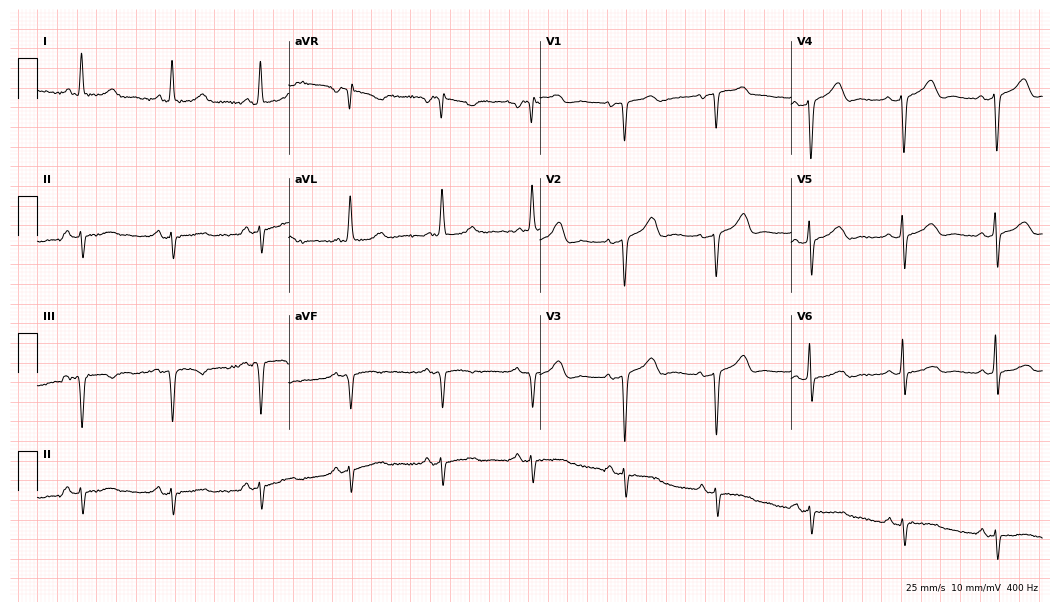
12-lead ECG from a 73-year-old female (10.2-second recording at 400 Hz). No first-degree AV block, right bundle branch block, left bundle branch block, sinus bradycardia, atrial fibrillation or sinus tachycardia recorded for this tracing. Only these six findings were labelled.